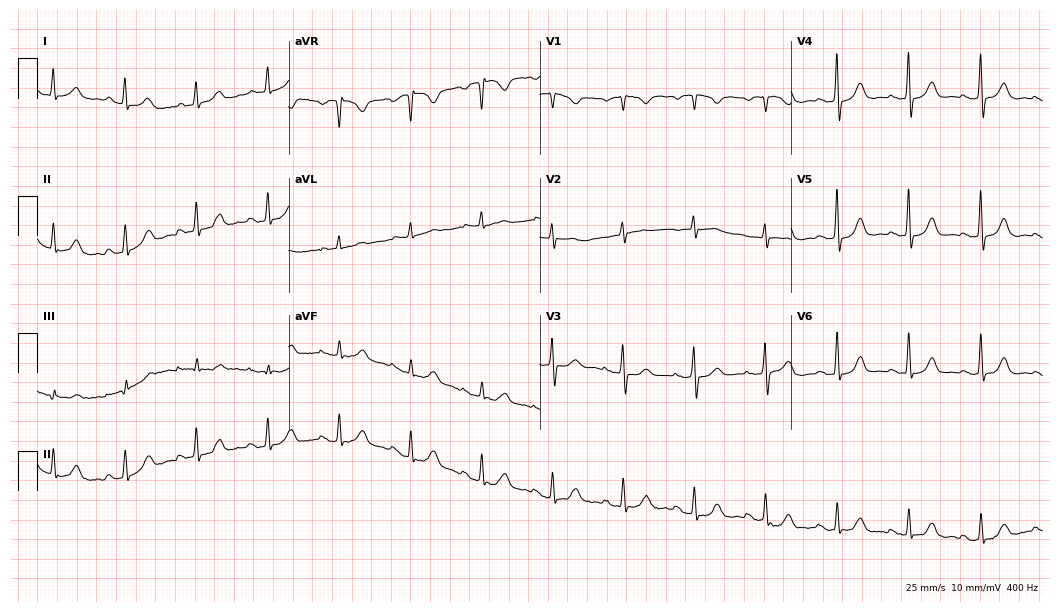
12-lead ECG (10.2-second recording at 400 Hz) from a 70-year-old female patient. Labelled as a normal ECG.